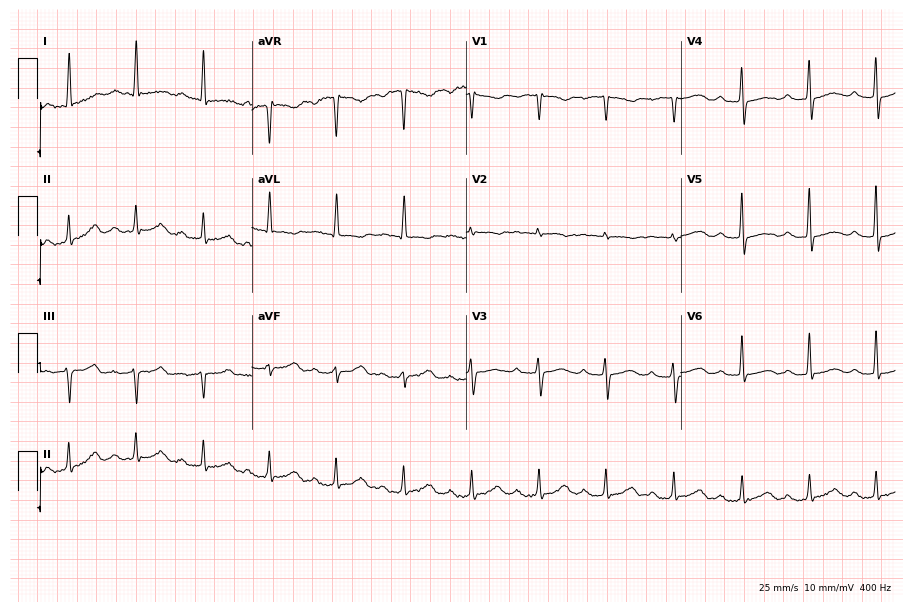
12-lead ECG from a 69-year-old woman. Screened for six findings — first-degree AV block, right bundle branch block (RBBB), left bundle branch block (LBBB), sinus bradycardia, atrial fibrillation (AF), sinus tachycardia — none is recorded. Only these six findings were labelled.